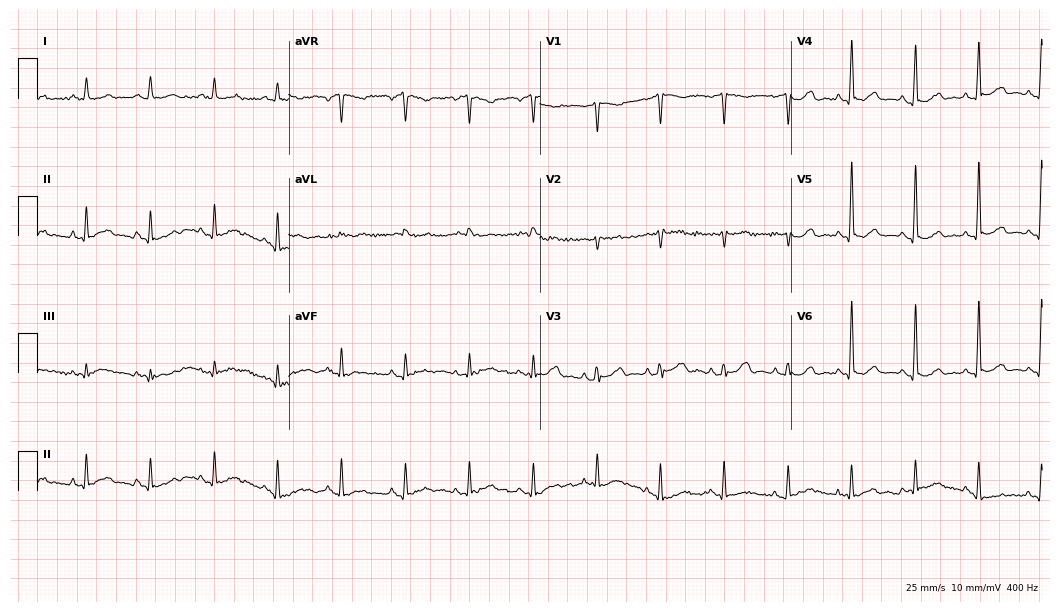
Electrocardiogram, a 69-year-old female patient. Of the six screened findings (first-degree AV block, right bundle branch block (RBBB), left bundle branch block (LBBB), sinus bradycardia, atrial fibrillation (AF), sinus tachycardia), none is recorded. Only these six findings were labelled.